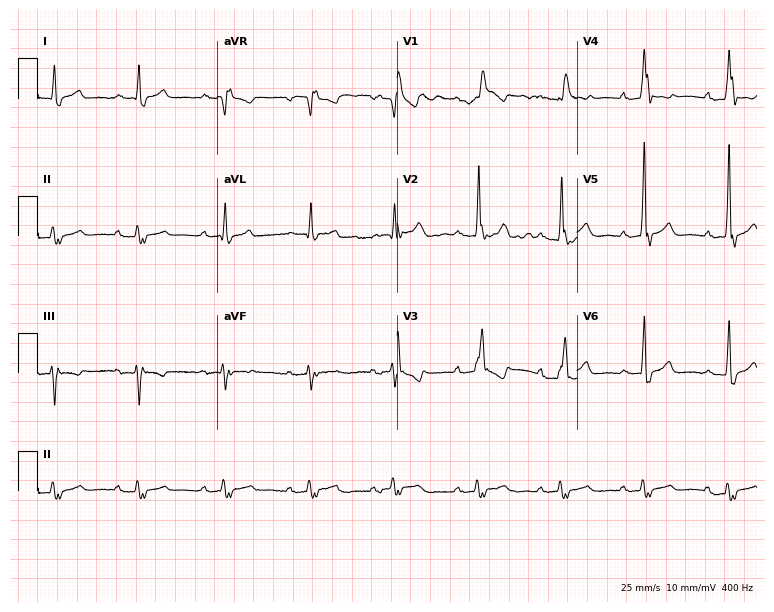
12-lead ECG from a male patient, 83 years old. Findings include first-degree AV block, right bundle branch block.